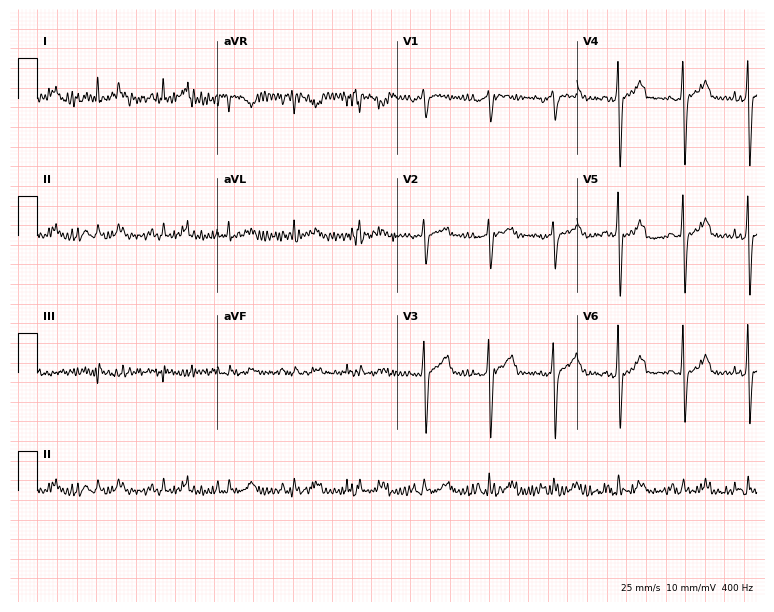
12-lead ECG from a 62-year-old male patient. No first-degree AV block, right bundle branch block, left bundle branch block, sinus bradycardia, atrial fibrillation or sinus tachycardia recorded for this tracing. Other findings, if any, are not listed.